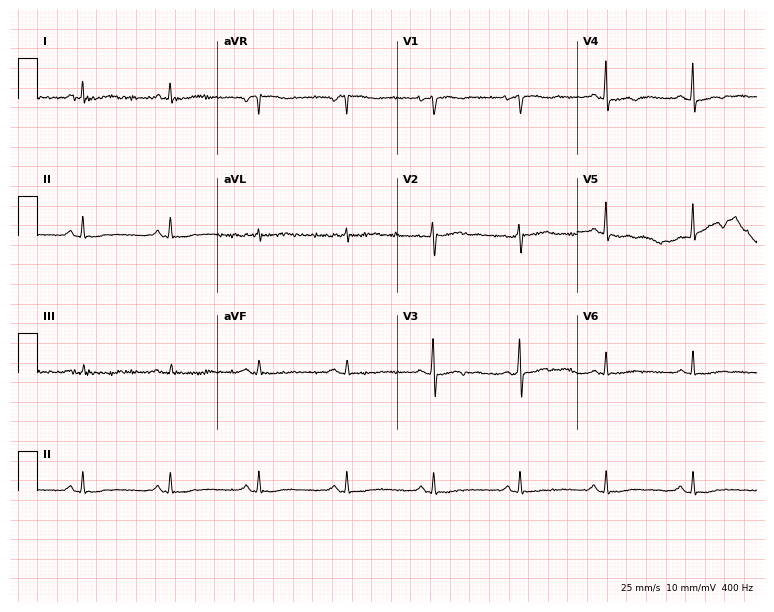
12-lead ECG from a female, 46 years old. No first-degree AV block, right bundle branch block, left bundle branch block, sinus bradycardia, atrial fibrillation or sinus tachycardia recorded for this tracing.